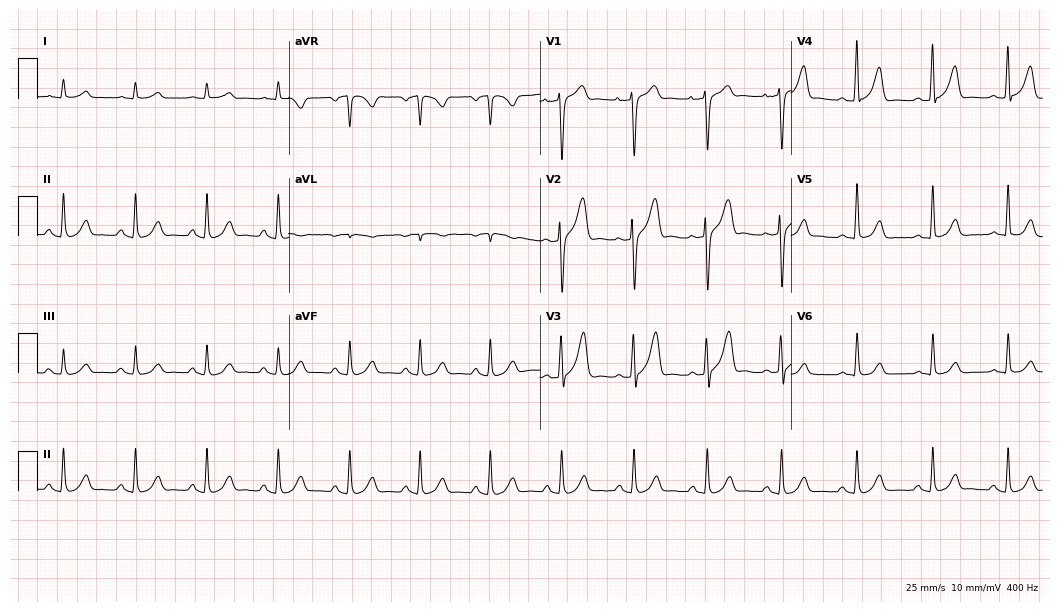
Electrocardiogram, a man, 61 years old. Overall reading on record: normal ECG.